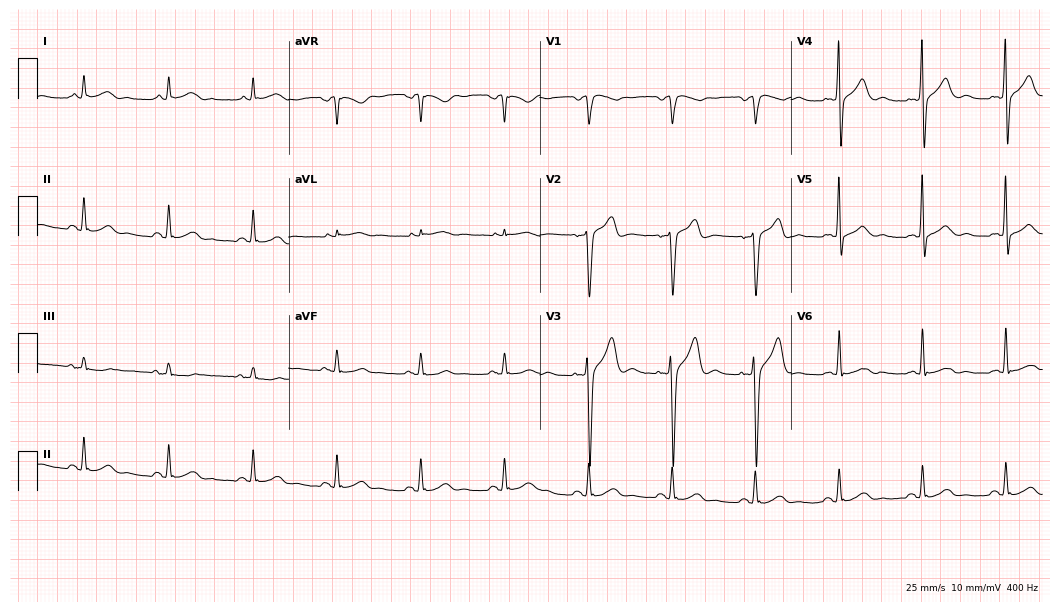
12-lead ECG from a man, 42 years old. No first-degree AV block, right bundle branch block, left bundle branch block, sinus bradycardia, atrial fibrillation or sinus tachycardia recorded for this tracing. Only these six findings were labelled.